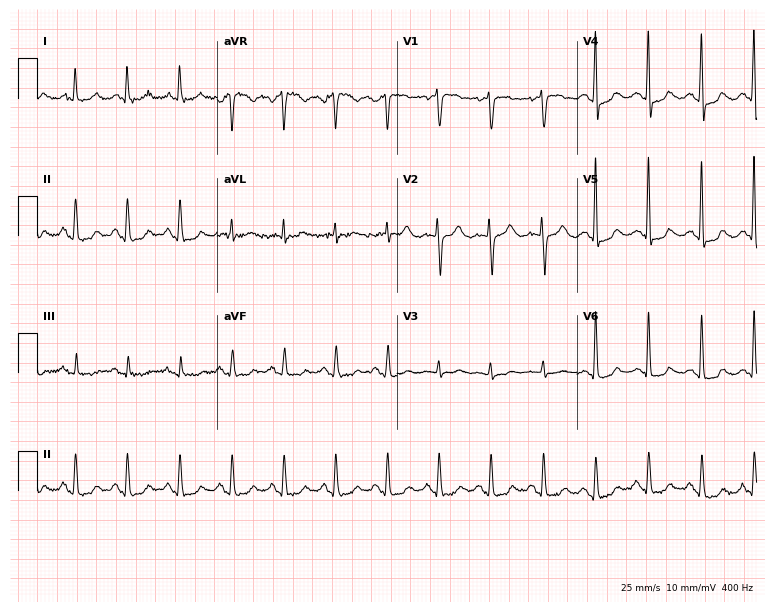
12-lead ECG (7.3-second recording at 400 Hz) from a 68-year-old female. Findings include sinus tachycardia (a sinus rate of 100 beats per minute or more).